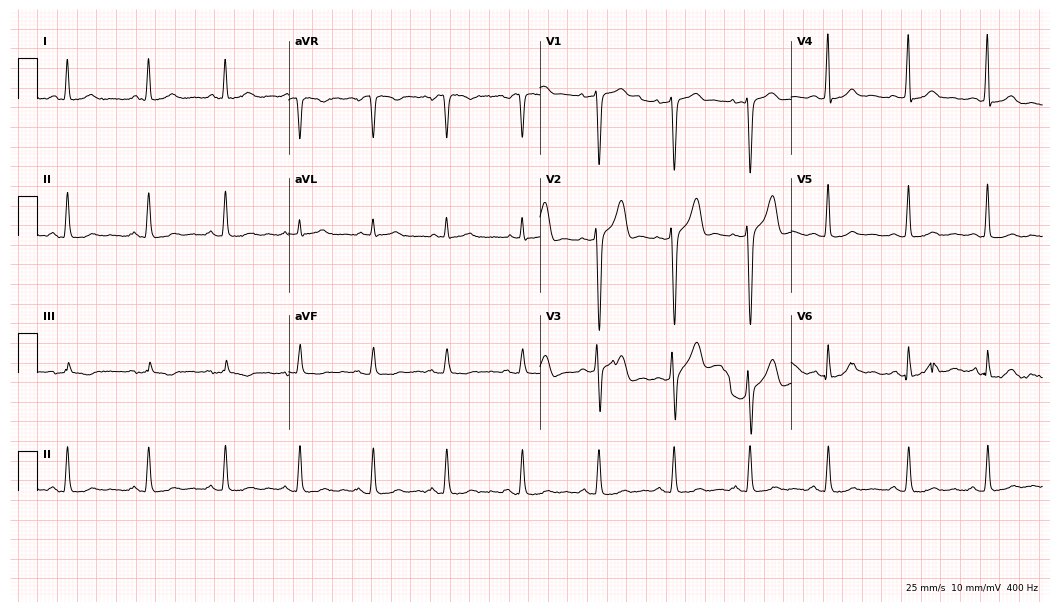
Standard 12-lead ECG recorded from a male patient, 45 years old (10.2-second recording at 400 Hz). Read as a normal ECG.